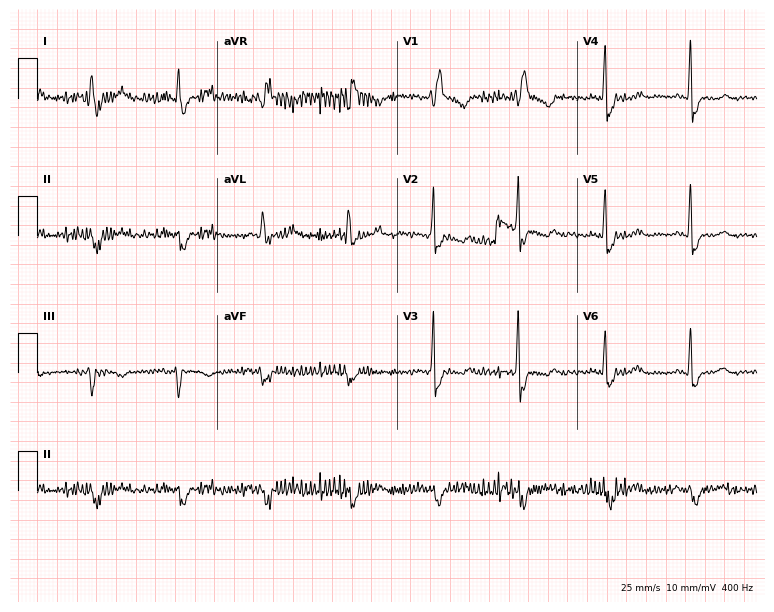
Standard 12-lead ECG recorded from a female, 52 years old (7.3-second recording at 400 Hz). None of these six findings is recorded: first-degree AV block, right bundle branch block, left bundle branch block, sinus bradycardia, atrial fibrillation, sinus tachycardia.